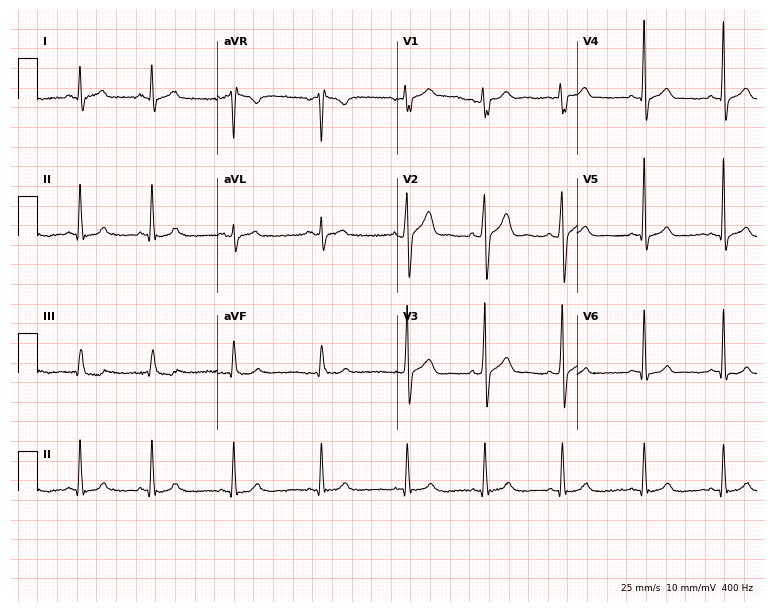
ECG — a 30-year-old man. Labelled as a normal ECG.